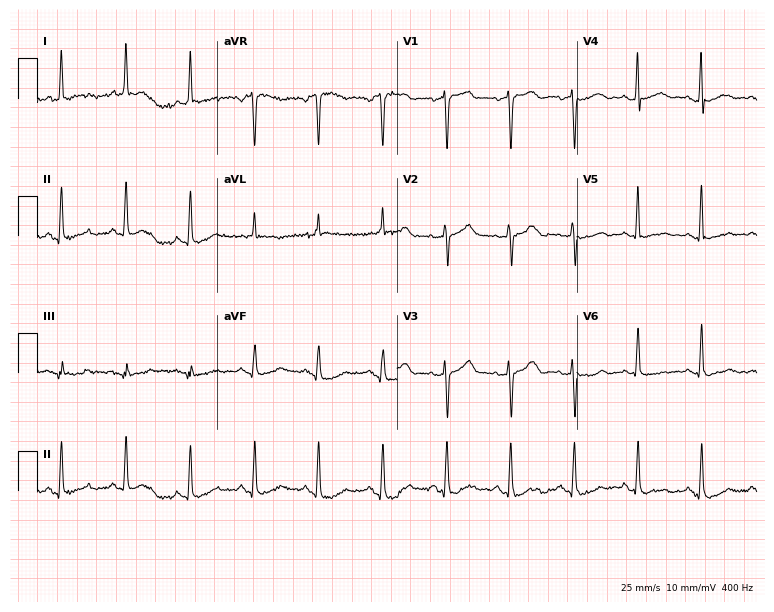
12-lead ECG (7.3-second recording at 400 Hz) from a woman, 69 years old. Screened for six findings — first-degree AV block, right bundle branch block (RBBB), left bundle branch block (LBBB), sinus bradycardia, atrial fibrillation (AF), sinus tachycardia — none is recorded.